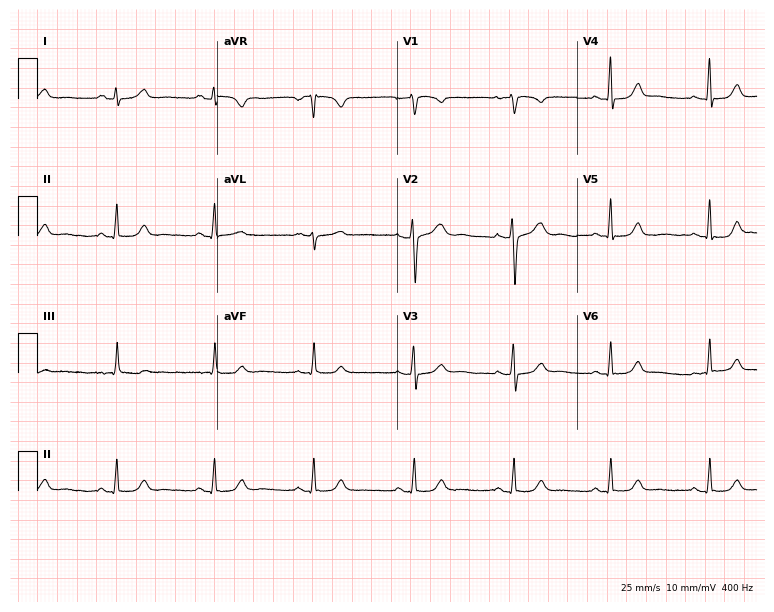
Resting 12-lead electrocardiogram (7.3-second recording at 400 Hz). Patient: a female, 45 years old. Read as a normal ECG.